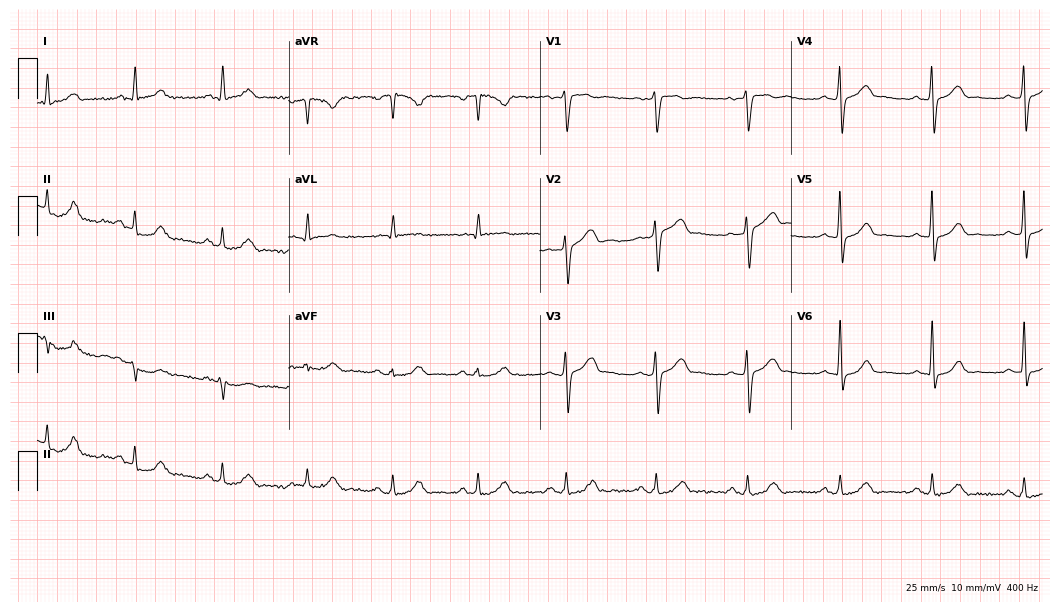
Resting 12-lead electrocardiogram (10.2-second recording at 400 Hz). Patient: a 60-year-old male. None of these six findings is recorded: first-degree AV block, right bundle branch block, left bundle branch block, sinus bradycardia, atrial fibrillation, sinus tachycardia. Other findings, if any, are not listed.